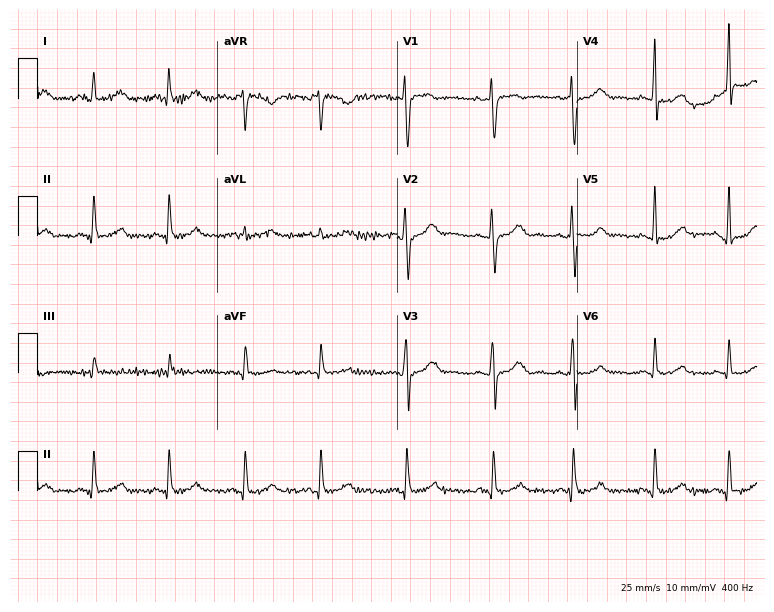
ECG — a 36-year-old female patient. Screened for six findings — first-degree AV block, right bundle branch block (RBBB), left bundle branch block (LBBB), sinus bradycardia, atrial fibrillation (AF), sinus tachycardia — none is recorded. Findings outside these six are not listed.